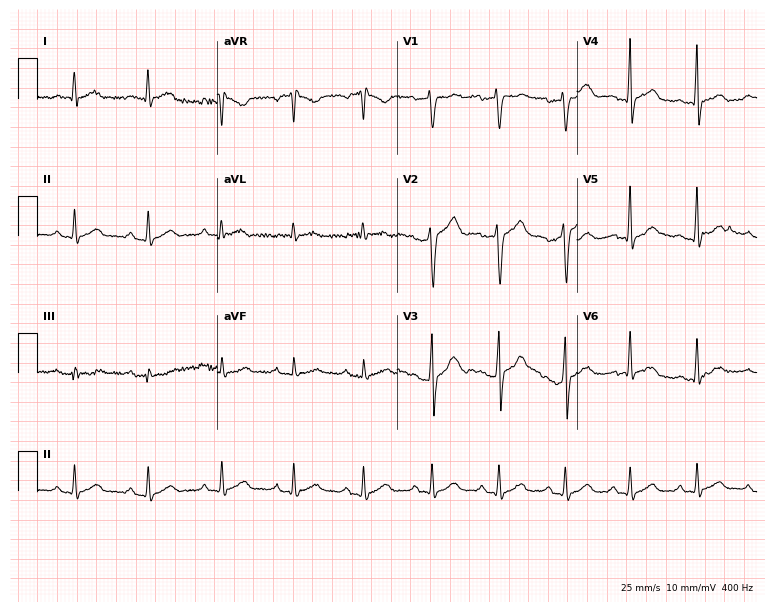
Resting 12-lead electrocardiogram. Patient: a male, 52 years old. Read as a normal ECG.